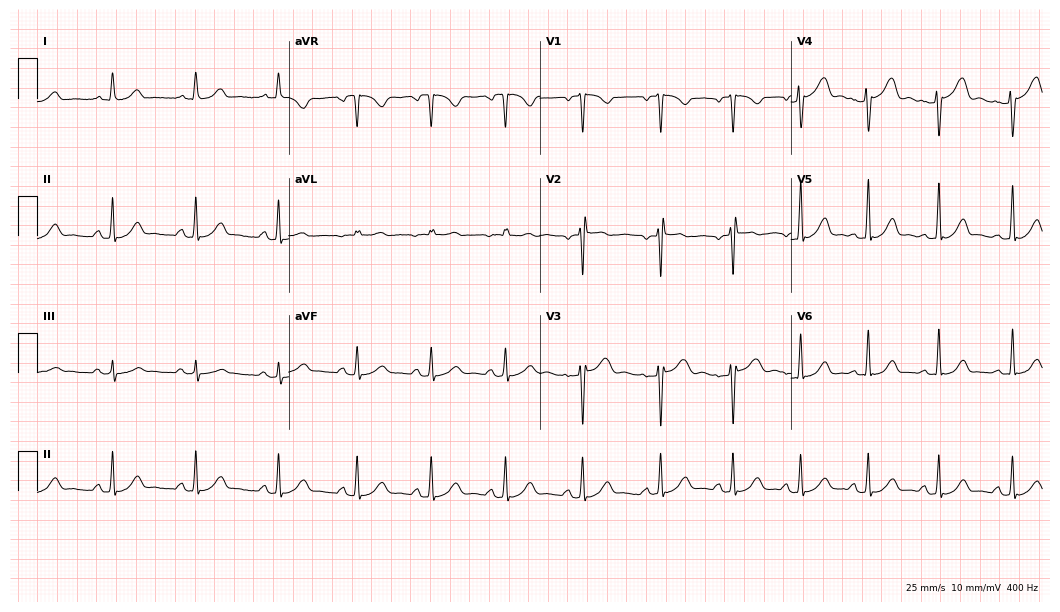
12-lead ECG (10.2-second recording at 400 Hz) from a female patient, 35 years old. Labelled as a normal ECG.